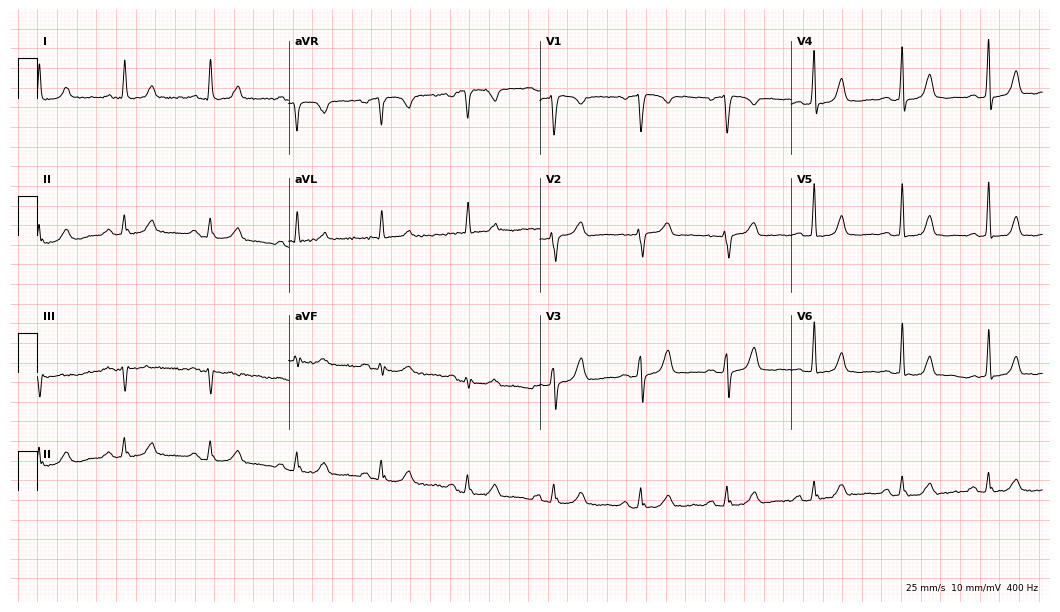
Resting 12-lead electrocardiogram. Patient: a 53-year-old female. None of these six findings is recorded: first-degree AV block, right bundle branch block (RBBB), left bundle branch block (LBBB), sinus bradycardia, atrial fibrillation (AF), sinus tachycardia.